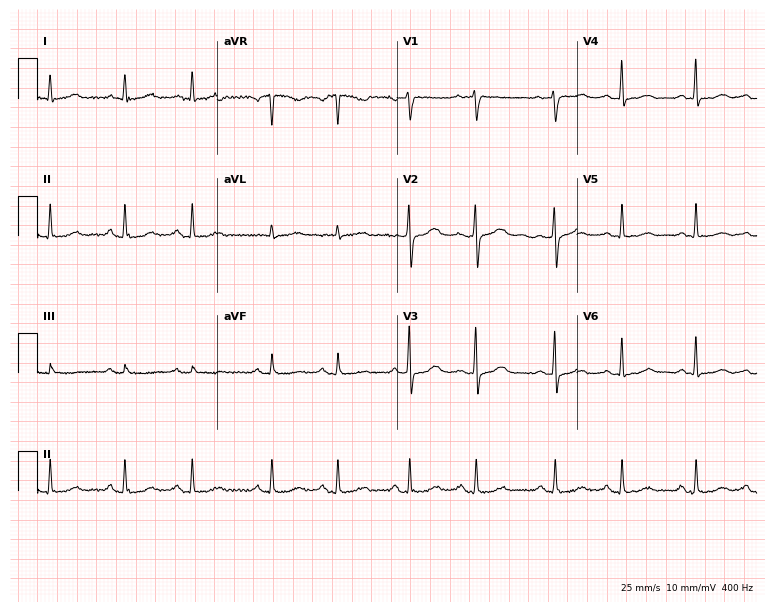
12-lead ECG from a 49-year-old female patient. Labelled as a normal ECG.